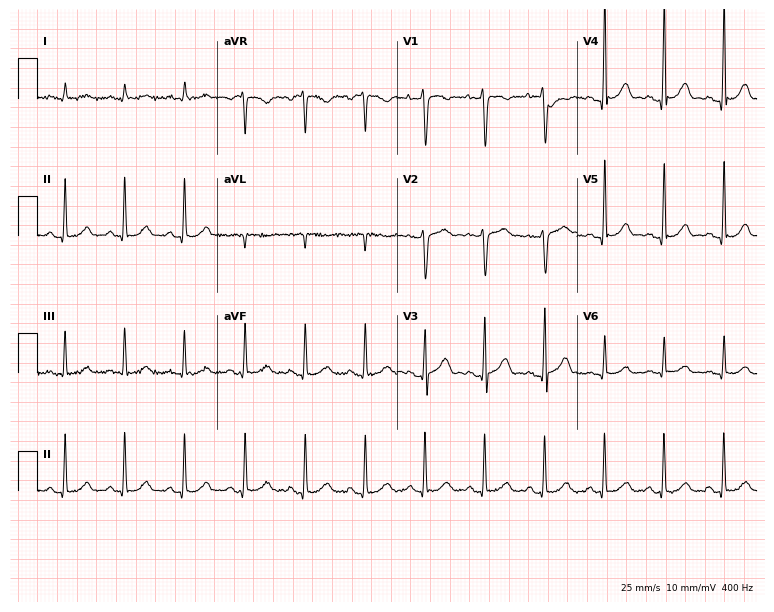
12-lead ECG from a 48-year-old man. Screened for six findings — first-degree AV block, right bundle branch block, left bundle branch block, sinus bradycardia, atrial fibrillation, sinus tachycardia — none is recorded. Findings outside these six are not listed.